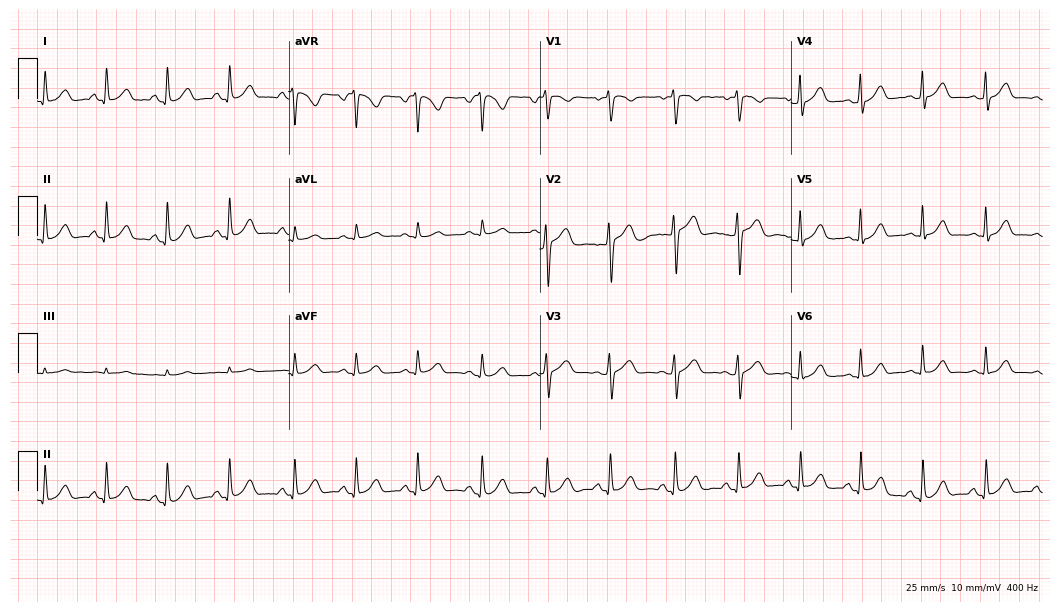
Resting 12-lead electrocardiogram. Patient: a woman, 31 years old. None of these six findings is recorded: first-degree AV block, right bundle branch block, left bundle branch block, sinus bradycardia, atrial fibrillation, sinus tachycardia. Other findings, if any, are not listed.